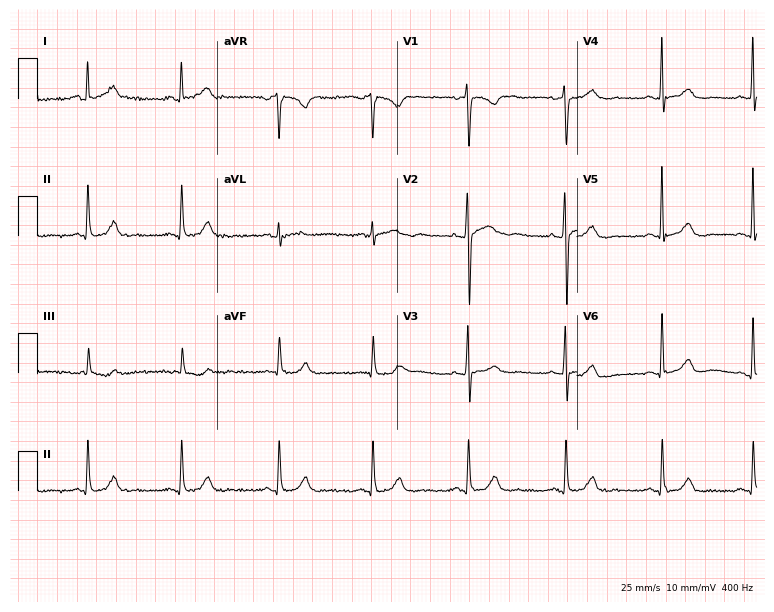
Standard 12-lead ECG recorded from a 50-year-old female patient. None of these six findings is recorded: first-degree AV block, right bundle branch block, left bundle branch block, sinus bradycardia, atrial fibrillation, sinus tachycardia.